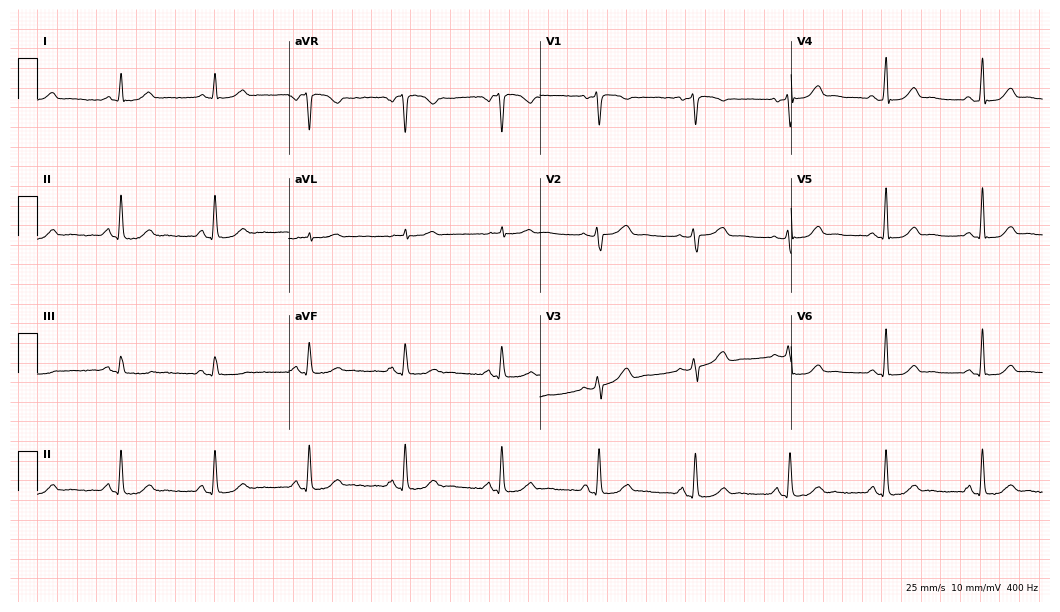
Electrocardiogram, a 51-year-old woman. Overall reading on record: normal ECG.